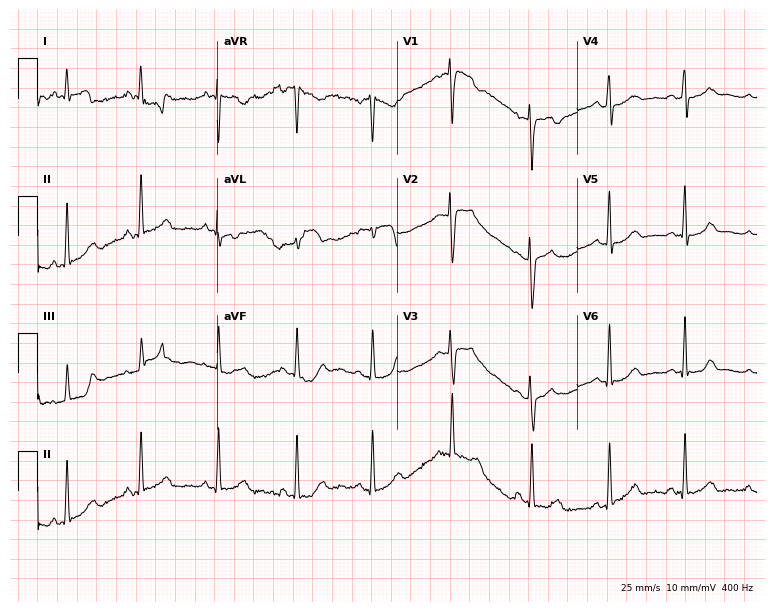
Electrocardiogram (7.3-second recording at 400 Hz), a 23-year-old woman. Overall reading on record: normal ECG.